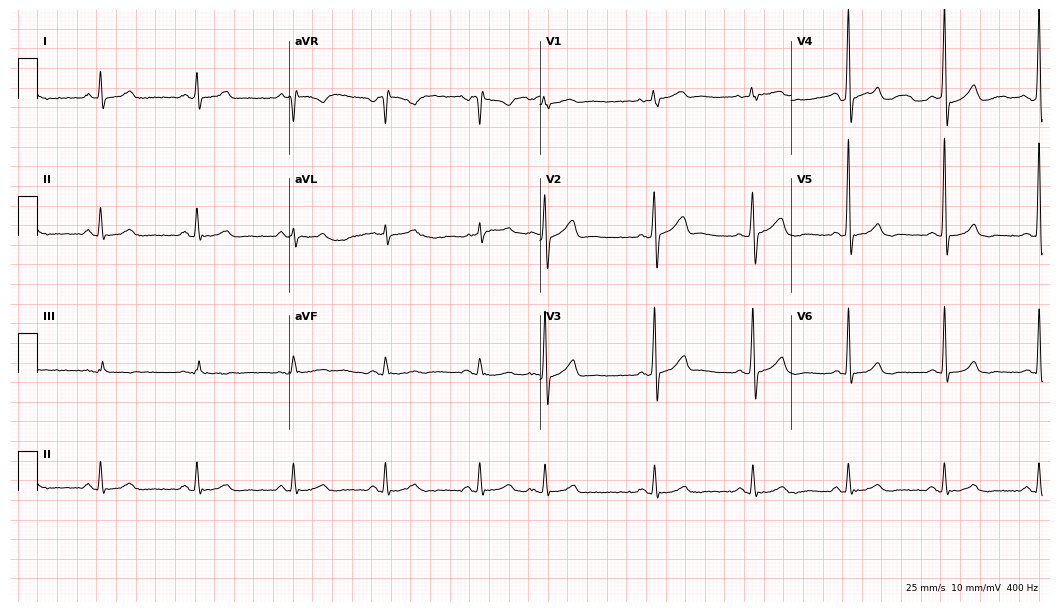
ECG — a man, 56 years old. Screened for six findings — first-degree AV block, right bundle branch block, left bundle branch block, sinus bradycardia, atrial fibrillation, sinus tachycardia — none is recorded. Only these six findings were labelled.